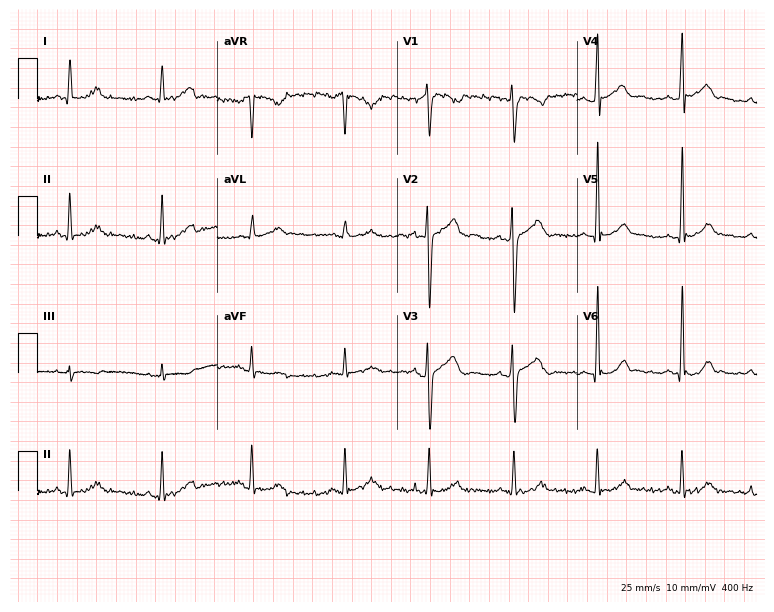
ECG — a 24-year-old male patient. Labelled as a normal ECG.